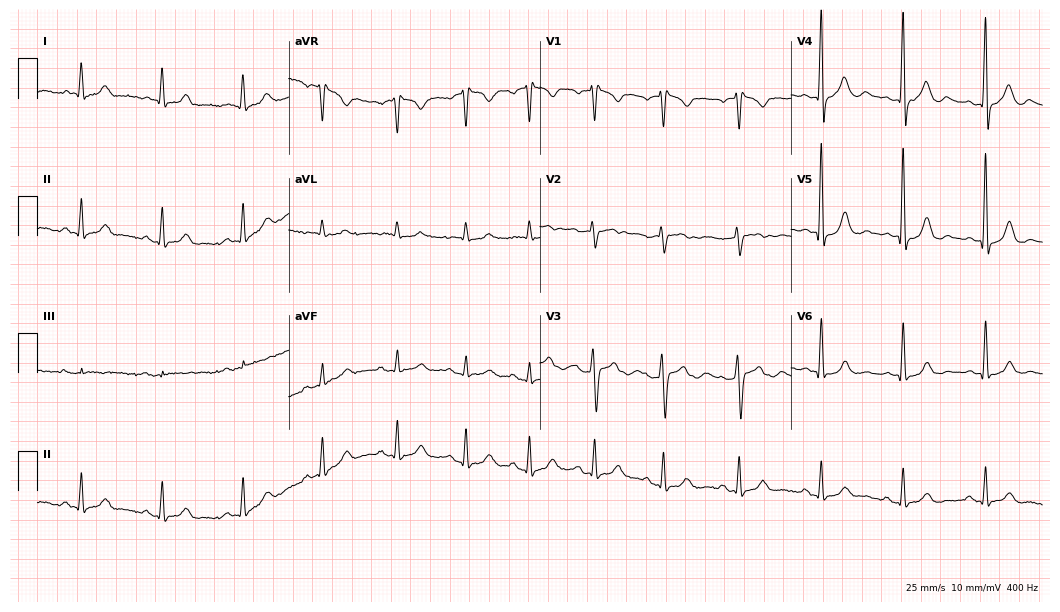
Standard 12-lead ECG recorded from a 65-year-old male (10.2-second recording at 400 Hz). None of these six findings is recorded: first-degree AV block, right bundle branch block, left bundle branch block, sinus bradycardia, atrial fibrillation, sinus tachycardia. Only these six findings were labelled.